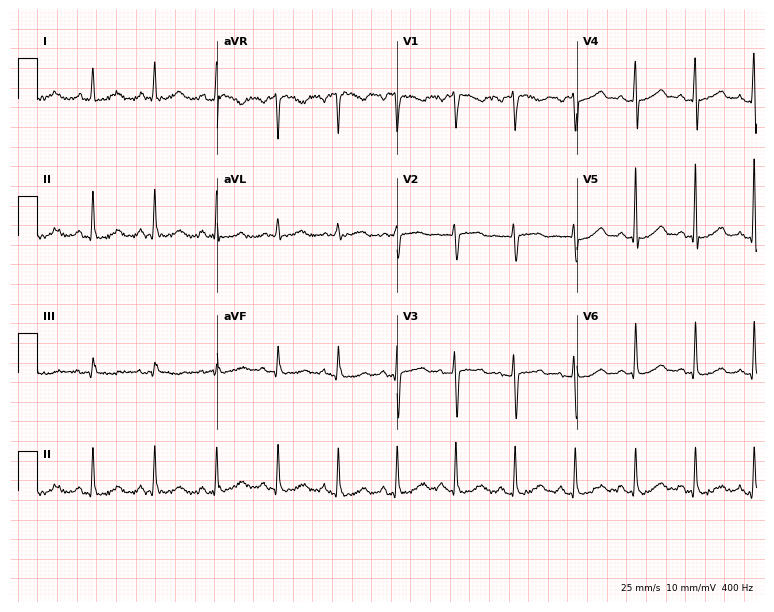
Resting 12-lead electrocardiogram. Patient: a 46-year-old woman. None of these six findings is recorded: first-degree AV block, right bundle branch block, left bundle branch block, sinus bradycardia, atrial fibrillation, sinus tachycardia.